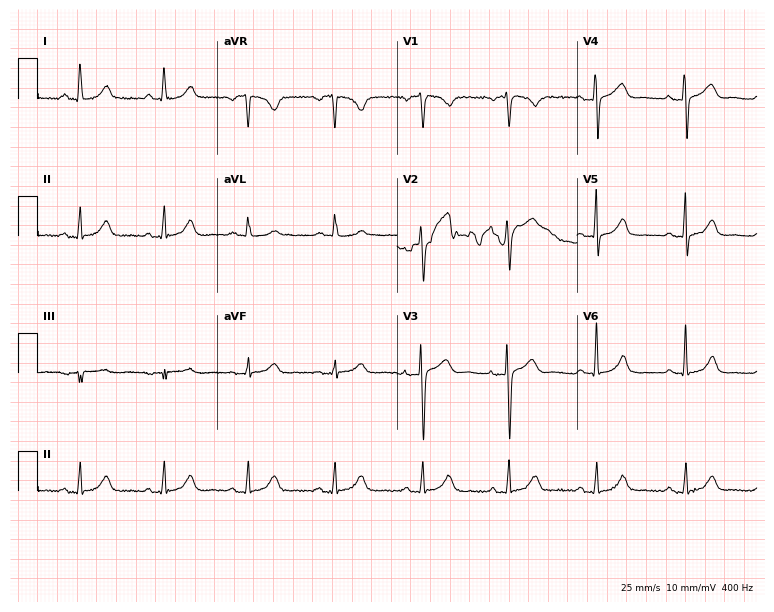
Resting 12-lead electrocardiogram (7.3-second recording at 400 Hz). Patient: a female, 73 years old. Read as a normal ECG.